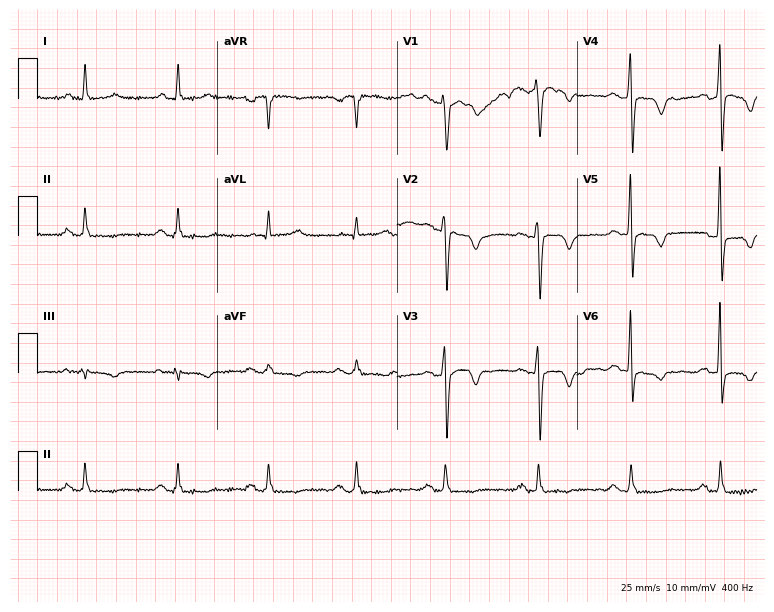
Electrocardiogram (7.3-second recording at 400 Hz), a woman, 53 years old. Of the six screened findings (first-degree AV block, right bundle branch block, left bundle branch block, sinus bradycardia, atrial fibrillation, sinus tachycardia), none is recorded.